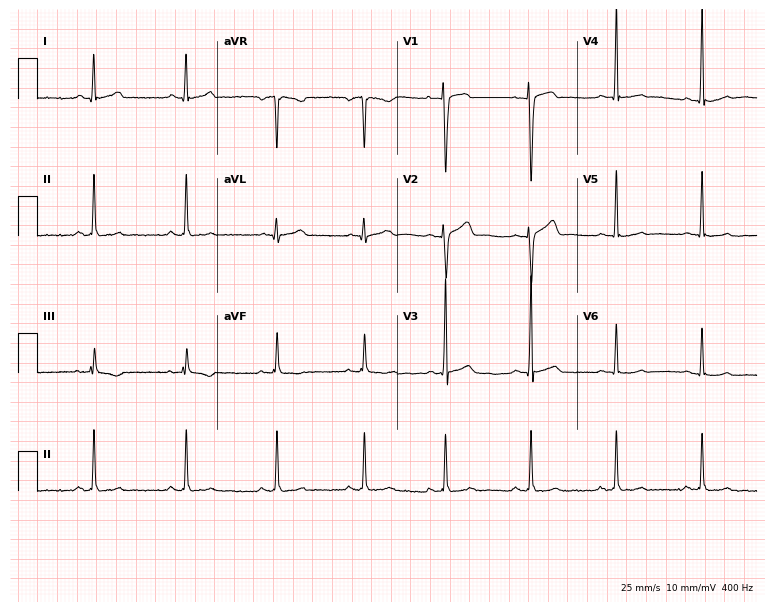
ECG — a 29-year-old male. Screened for six findings — first-degree AV block, right bundle branch block (RBBB), left bundle branch block (LBBB), sinus bradycardia, atrial fibrillation (AF), sinus tachycardia — none is recorded.